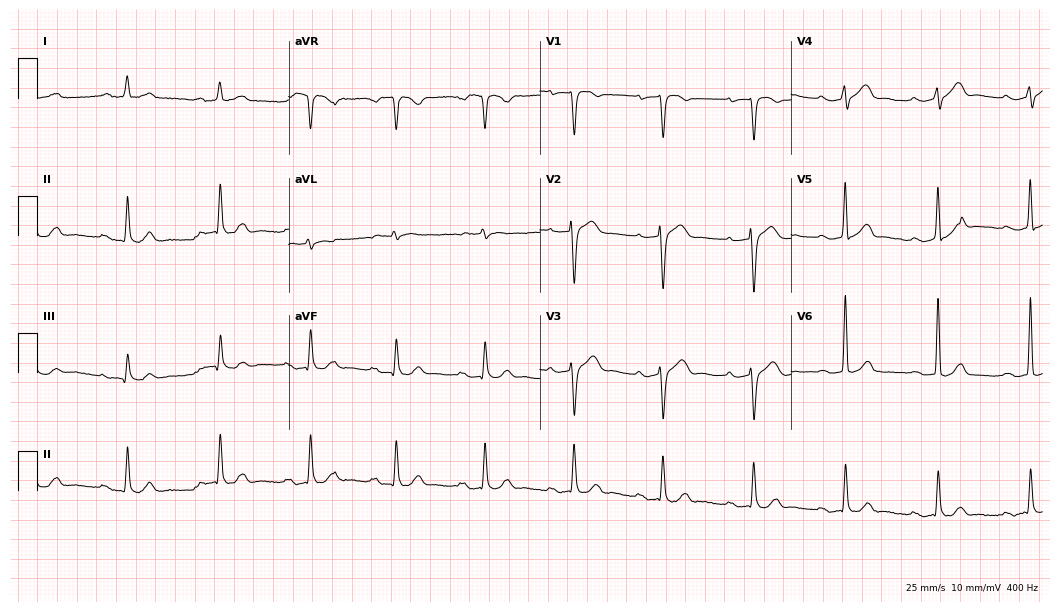
Standard 12-lead ECG recorded from a male patient, 80 years old (10.2-second recording at 400 Hz). Read as a normal ECG.